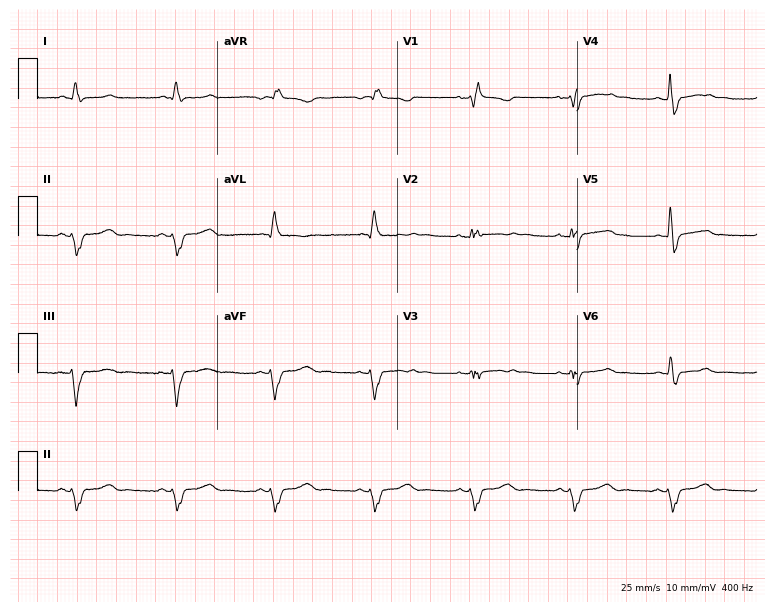
12-lead ECG from a woman, 47 years old. Findings include right bundle branch block, left bundle branch block.